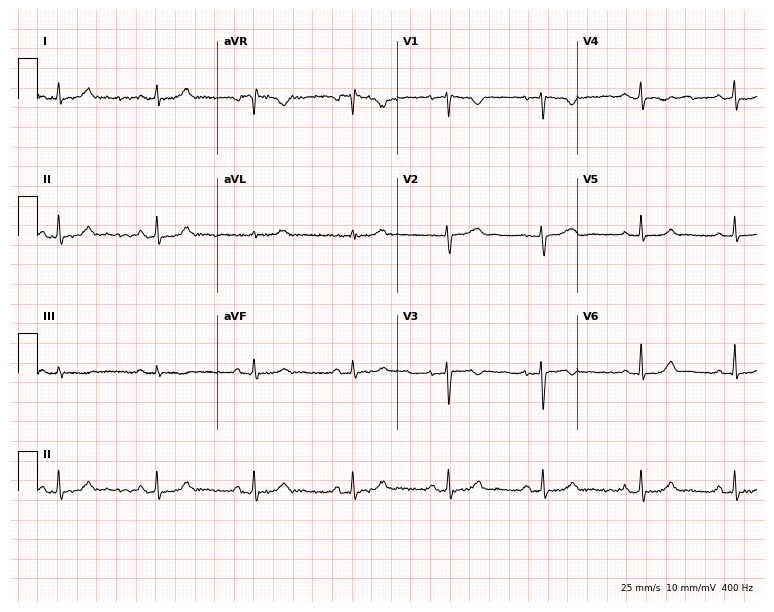
Resting 12-lead electrocardiogram (7.3-second recording at 400 Hz). Patient: a female, 38 years old. None of these six findings is recorded: first-degree AV block, right bundle branch block, left bundle branch block, sinus bradycardia, atrial fibrillation, sinus tachycardia. Other findings, if any, are not listed.